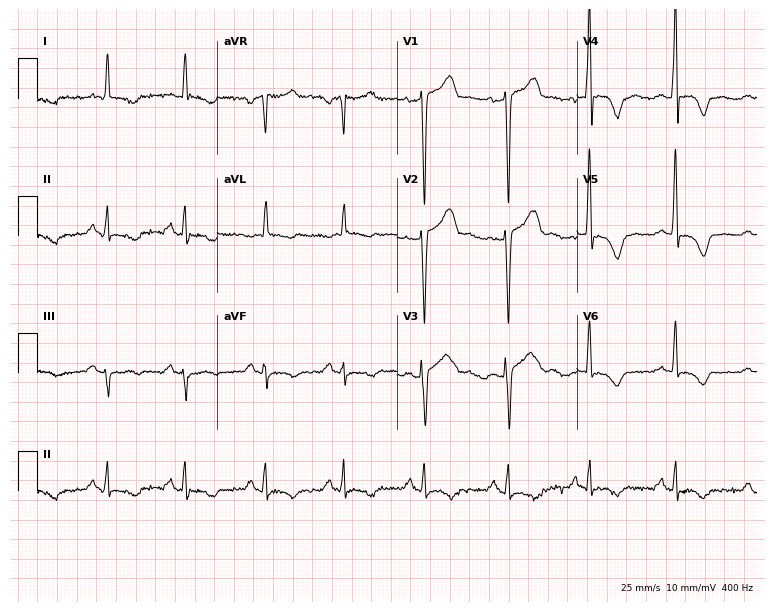
12-lead ECG from a 54-year-old man. Screened for six findings — first-degree AV block, right bundle branch block, left bundle branch block, sinus bradycardia, atrial fibrillation, sinus tachycardia — none is recorded.